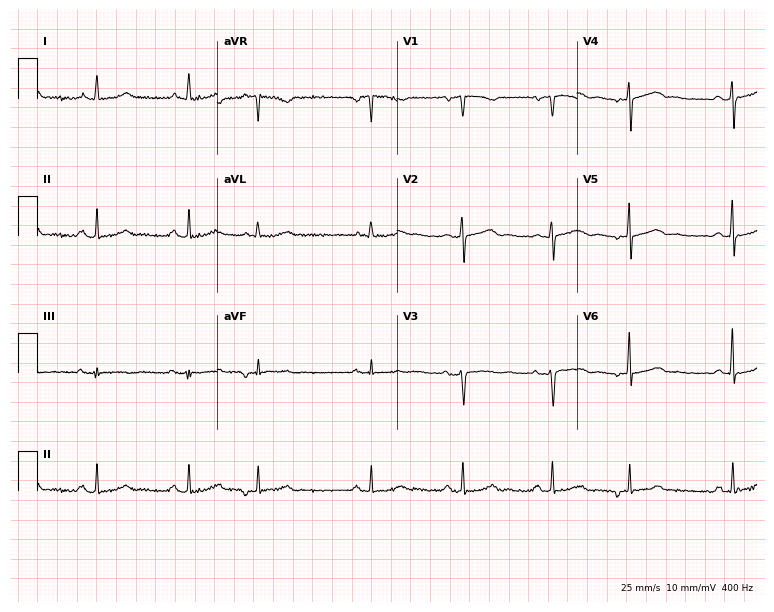
12-lead ECG from a 59-year-old female patient. No first-degree AV block, right bundle branch block, left bundle branch block, sinus bradycardia, atrial fibrillation or sinus tachycardia recorded for this tracing.